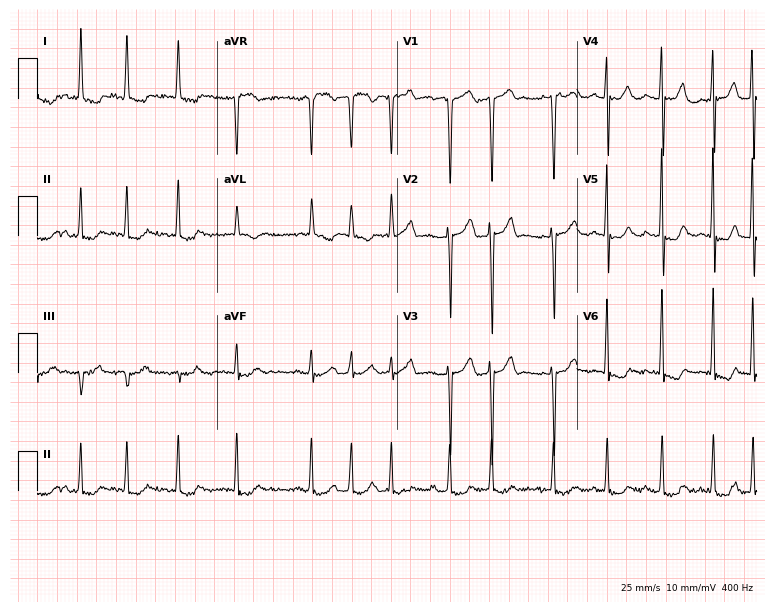
Standard 12-lead ECG recorded from an 83-year-old female (7.3-second recording at 400 Hz). None of these six findings is recorded: first-degree AV block, right bundle branch block, left bundle branch block, sinus bradycardia, atrial fibrillation, sinus tachycardia.